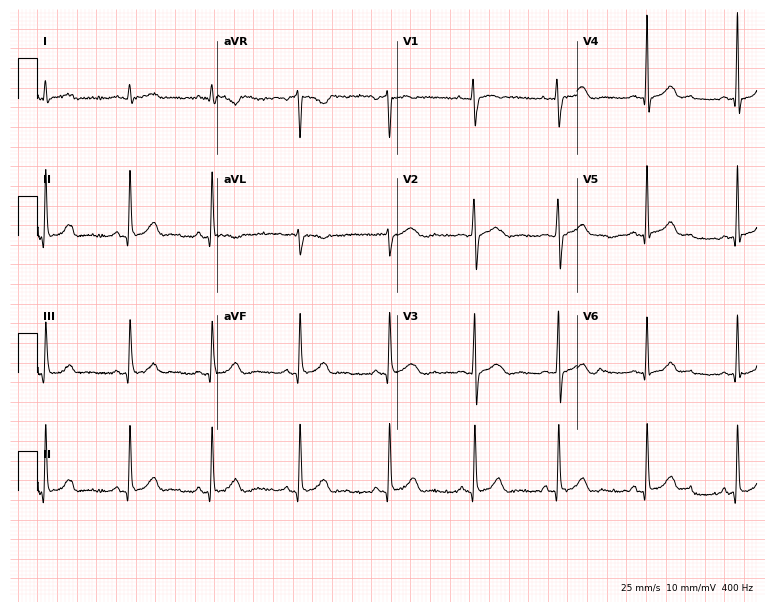
12-lead ECG from a 38-year-old female patient. Screened for six findings — first-degree AV block, right bundle branch block (RBBB), left bundle branch block (LBBB), sinus bradycardia, atrial fibrillation (AF), sinus tachycardia — none is recorded. Findings outside these six are not listed.